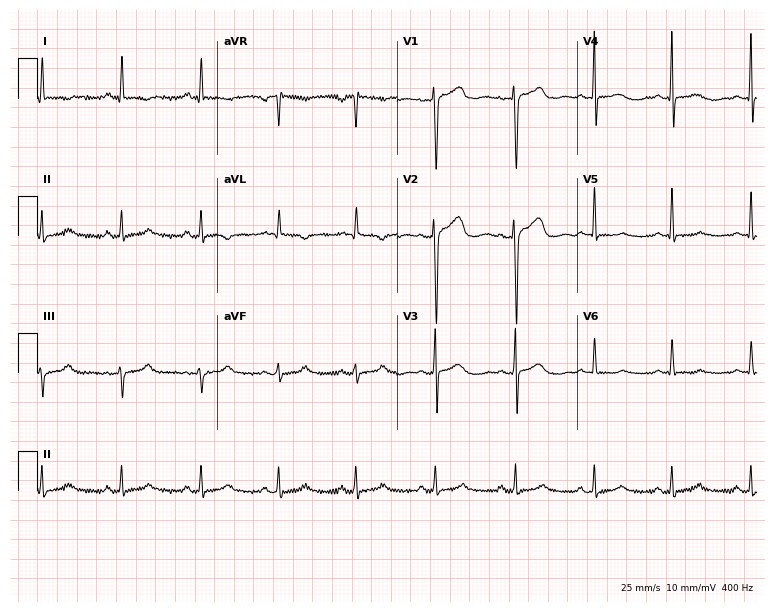
Standard 12-lead ECG recorded from a 58-year-old woman. Read as a normal ECG.